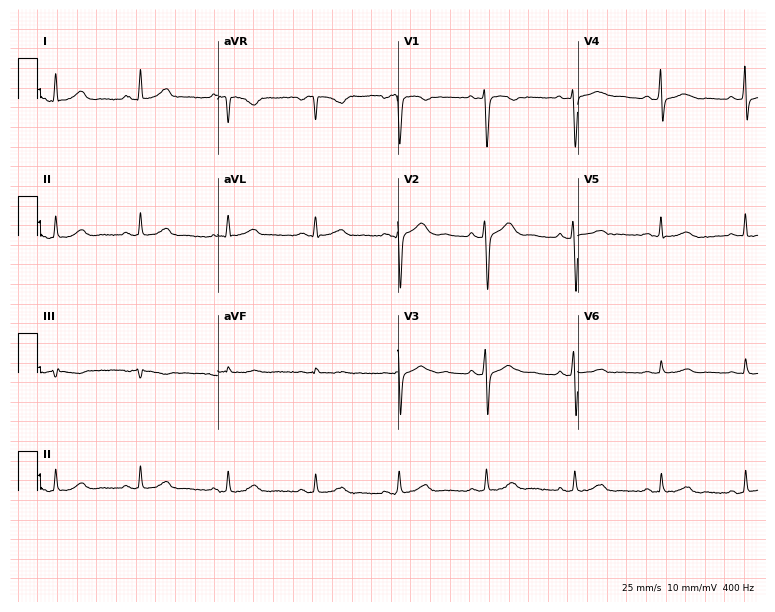
Electrocardiogram (7.3-second recording at 400 Hz), a 42-year-old female. Overall reading on record: normal ECG.